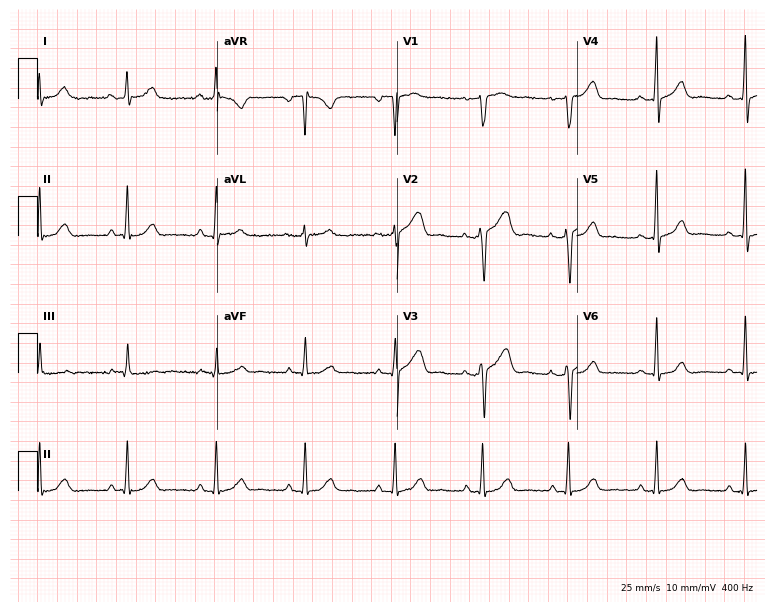
ECG (7.3-second recording at 400 Hz) — a 38-year-old female patient. Labelled as a normal ECG.